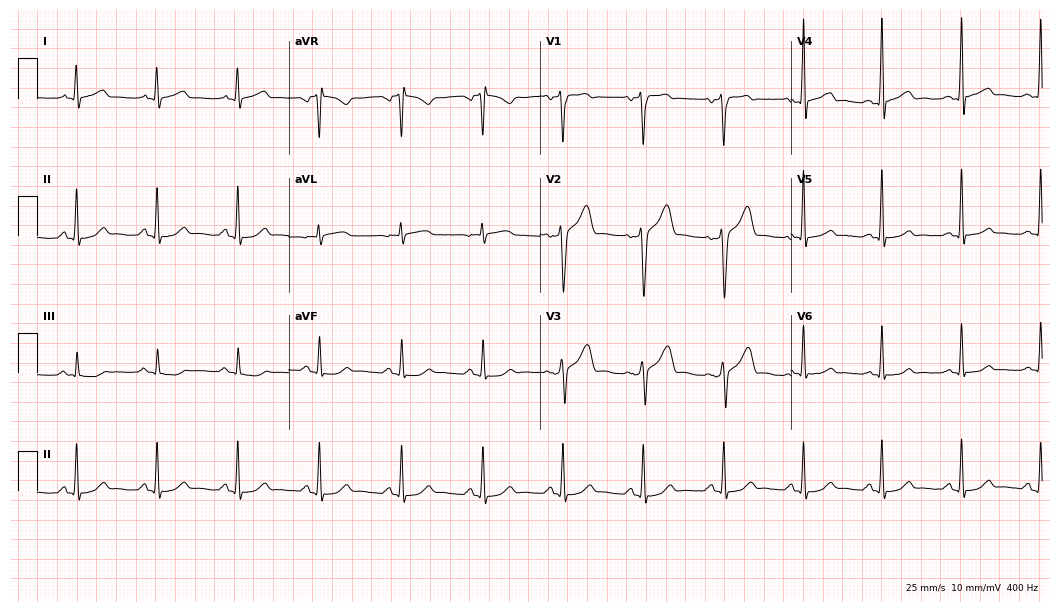
Standard 12-lead ECG recorded from a 44-year-old male patient. Read as a normal ECG.